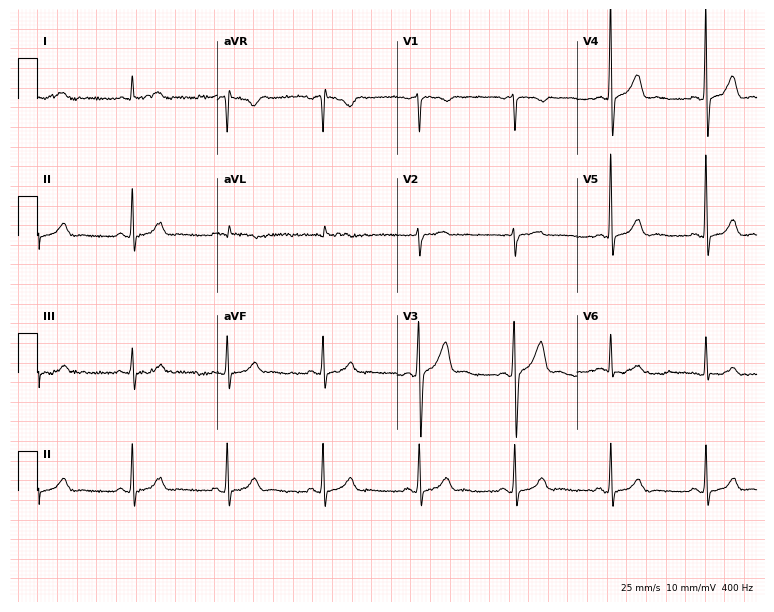
12-lead ECG from a 76-year-old man (7.3-second recording at 400 Hz). Recorded interpretation: within normal limits.